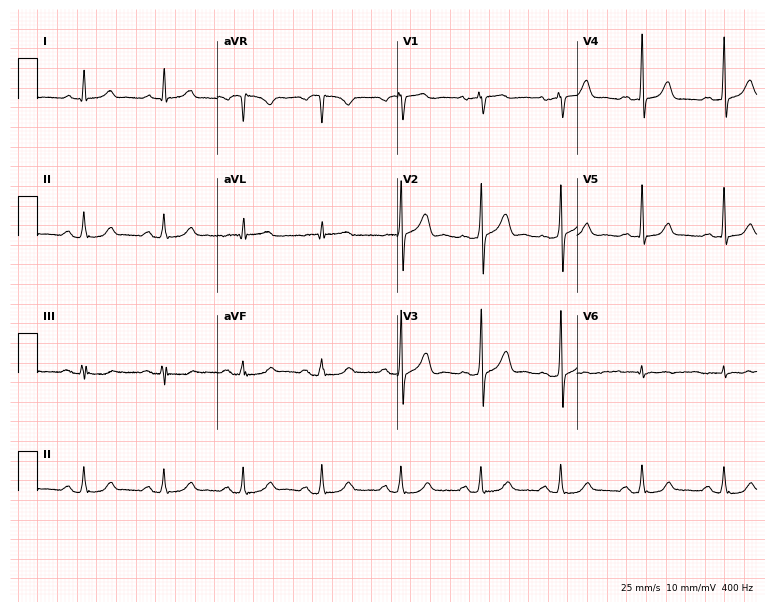
Resting 12-lead electrocardiogram (7.3-second recording at 400 Hz). Patient: a 74-year-old male. None of these six findings is recorded: first-degree AV block, right bundle branch block, left bundle branch block, sinus bradycardia, atrial fibrillation, sinus tachycardia. Findings outside these six are not listed.